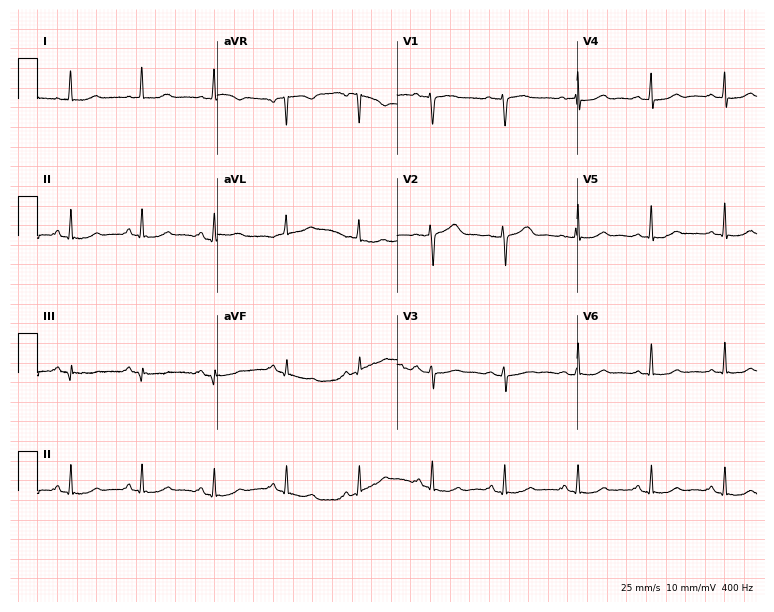
ECG — a 64-year-old female. Screened for six findings — first-degree AV block, right bundle branch block (RBBB), left bundle branch block (LBBB), sinus bradycardia, atrial fibrillation (AF), sinus tachycardia — none is recorded. Only these six findings were labelled.